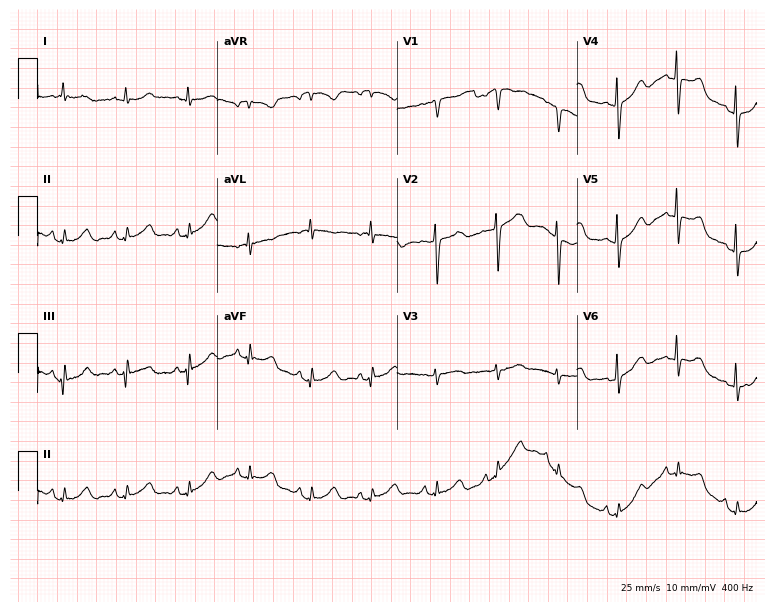
ECG — a female, 64 years old. Screened for six findings — first-degree AV block, right bundle branch block, left bundle branch block, sinus bradycardia, atrial fibrillation, sinus tachycardia — none is recorded. Other findings, if any, are not listed.